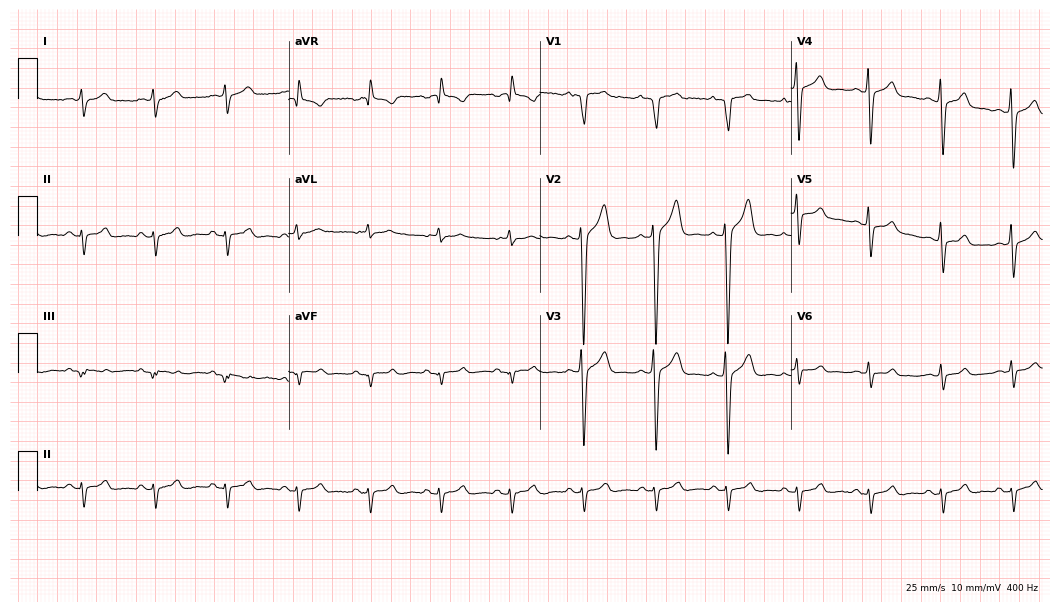
12-lead ECG from a male, 27 years old. Screened for six findings — first-degree AV block, right bundle branch block, left bundle branch block, sinus bradycardia, atrial fibrillation, sinus tachycardia — none is recorded. Other findings, if any, are not listed.